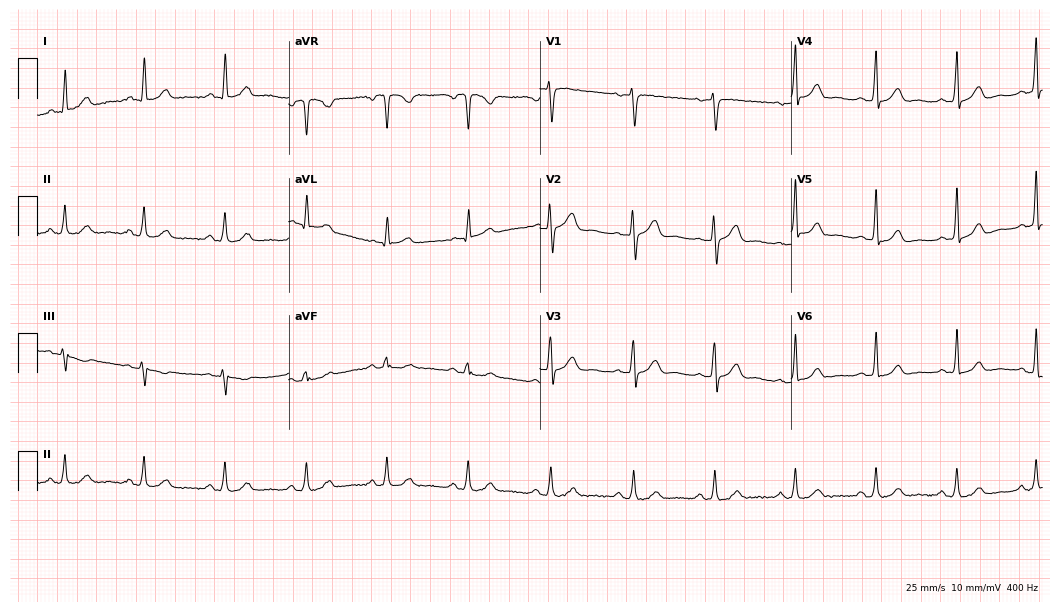
Standard 12-lead ECG recorded from a female patient, 42 years old. Read as a normal ECG.